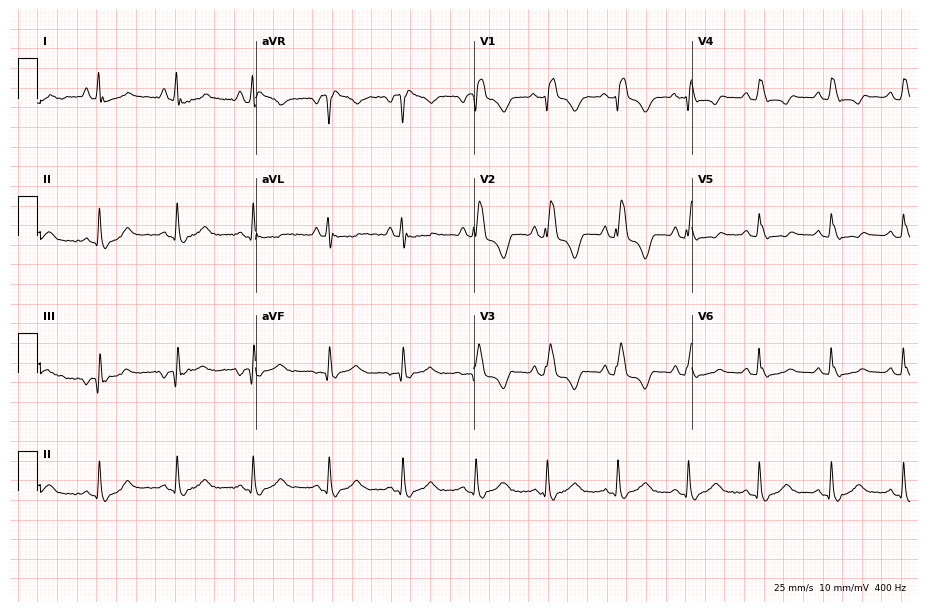
12-lead ECG from a woman, 20 years old (8.9-second recording at 400 Hz). Shows right bundle branch block.